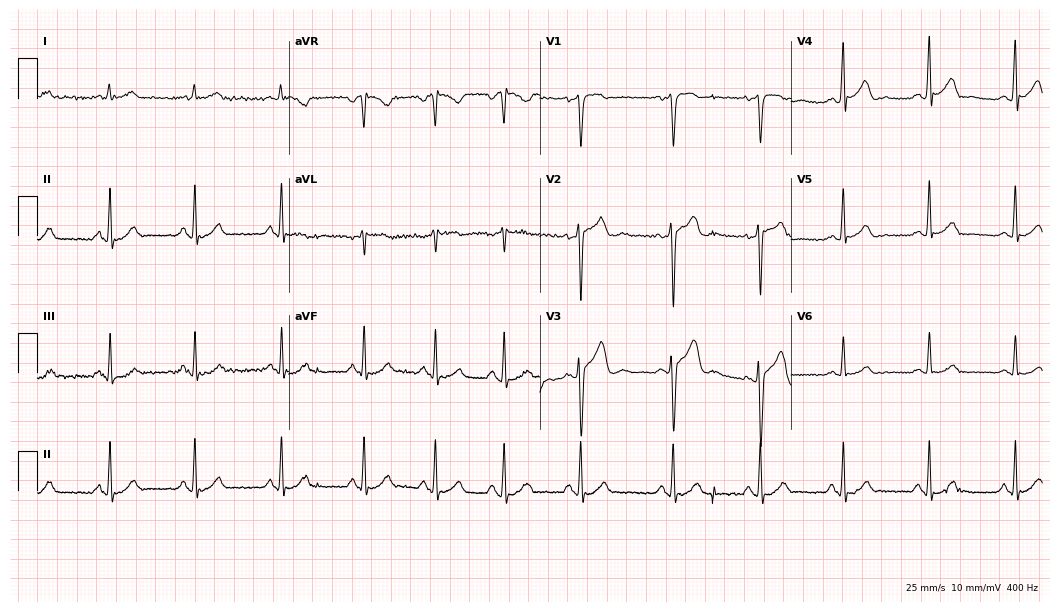
Standard 12-lead ECG recorded from a male, 23 years old. Read as a normal ECG.